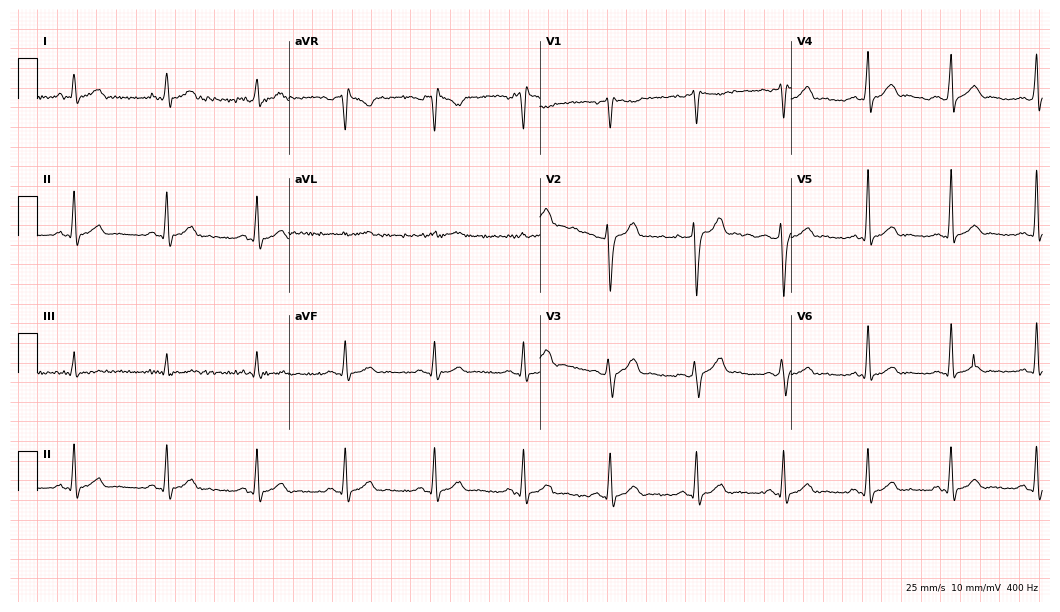
12-lead ECG from a male patient, 32 years old. Screened for six findings — first-degree AV block, right bundle branch block (RBBB), left bundle branch block (LBBB), sinus bradycardia, atrial fibrillation (AF), sinus tachycardia — none is recorded. Other findings, if any, are not listed.